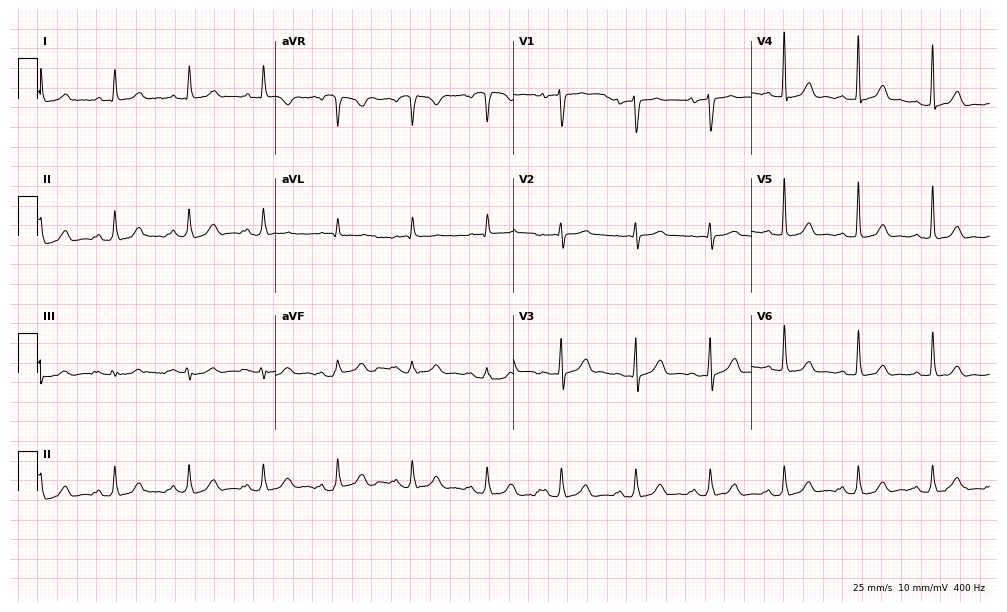
Standard 12-lead ECG recorded from an 83-year-old man (9.7-second recording at 400 Hz). Read as a normal ECG.